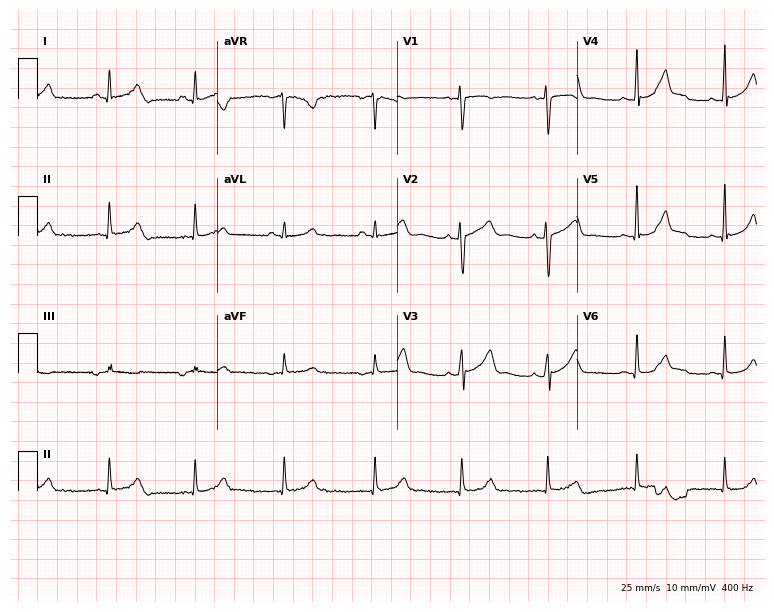
12-lead ECG (7.3-second recording at 400 Hz) from a female patient, 35 years old. Screened for six findings — first-degree AV block, right bundle branch block, left bundle branch block, sinus bradycardia, atrial fibrillation, sinus tachycardia — none is recorded. Other findings, if any, are not listed.